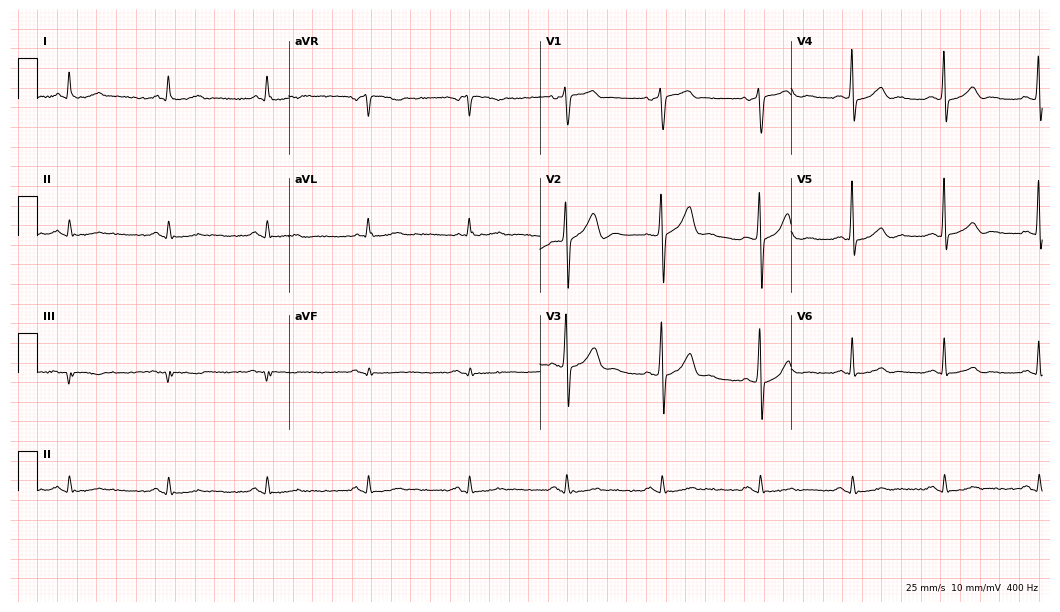
12-lead ECG from a 63-year-old male (10.2-second recording at 400 Hz). Recorded interpretation: within normal limits.